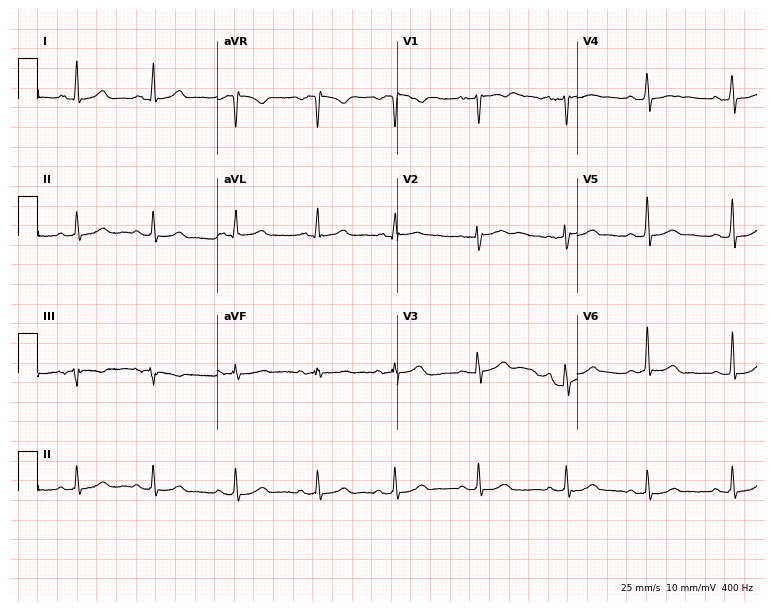
Electrocardiogram, a 33-year-old female. Of the six screened findings (first-degree AV block, right bundle branch block, left bundle branch block, sinus bradycardia, atrial fibrillation, sinus tachycardia), none is recorded. Only these six findings were labelled.